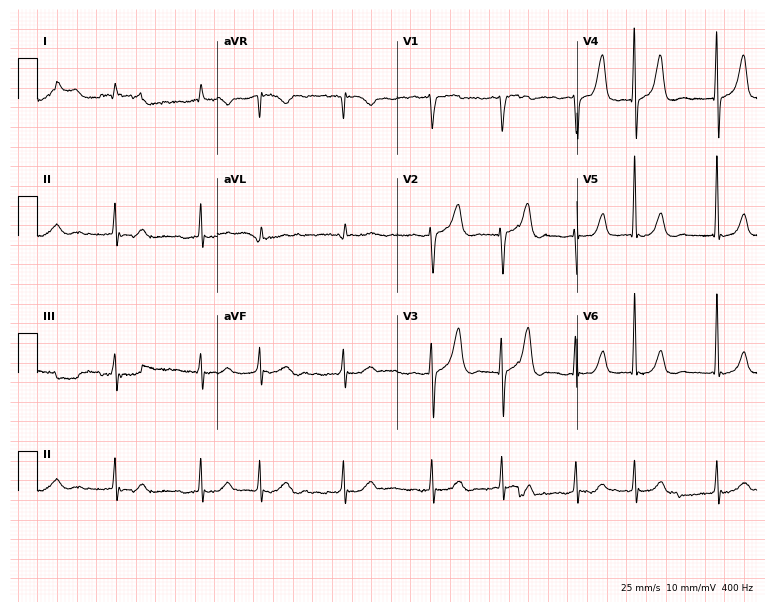
Resting 12-lead electrocardiogram (7.3-second recording at 400 Hz). Patient: a man, 77 years old. The tracing shows atrial fibrillation.